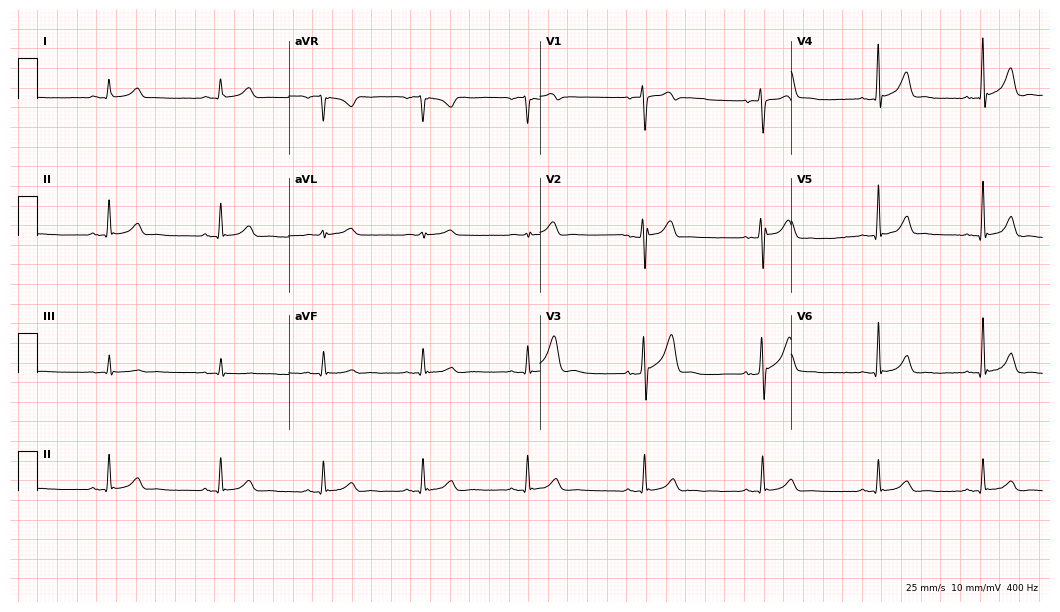
ECG (10.2-second recording at 400 Hz) — a male, 43 years old. Labelled as a normal ECG.